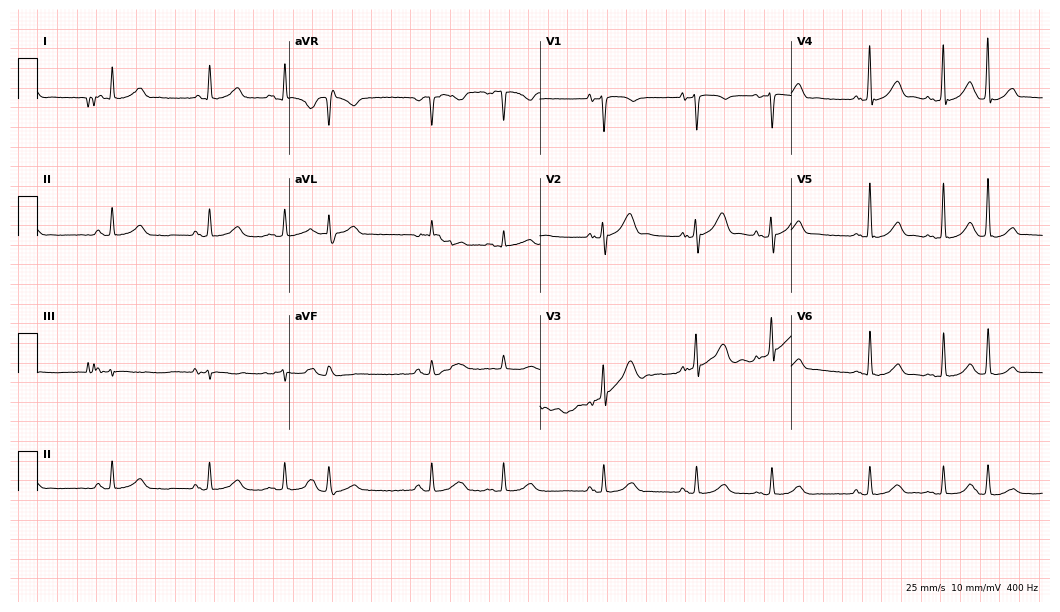
Resting 12-lead electrocardiogram (10.2-second recording at 400 Hz). Patient: a 56-year-old man. None of these six findings is recorded: first-degree AV block, right bundle branch block, left bundle branch block, sinus bradycardia, atrial fibrillation, sinus tachycardia. Only these six findings were labelled.